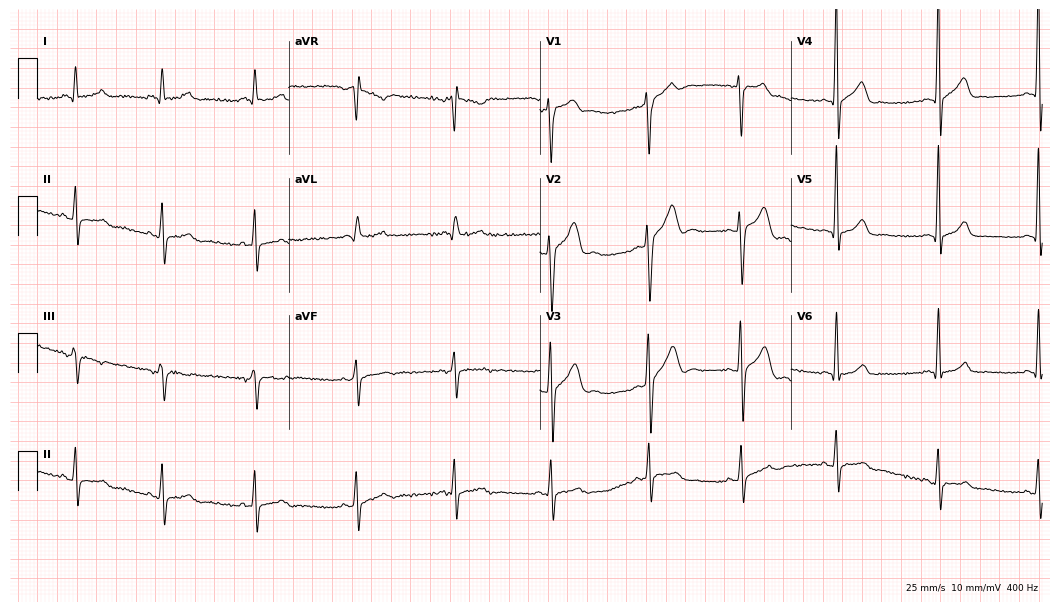
Resting 12-lead electrocardiogram (10.2-second recording at 400 Hz). Patient: a male, 22 years old. None of these six findings is recorded: first-degree AV block, right bundle branch block, left bundle branch block, sinus bradycardia, atrial fibrillation, sinus tachycardia.